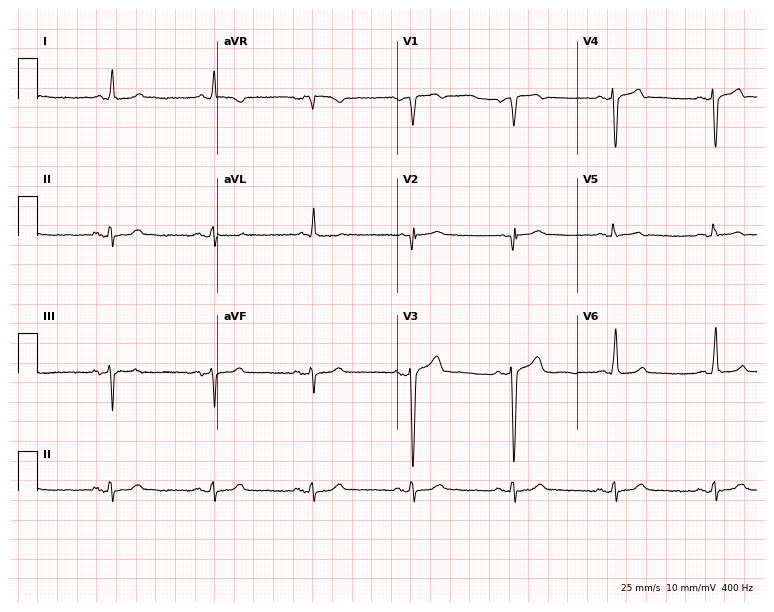
12-lead ECG from a 59-year-old male. Screened for six findings — first-degree AV block, right bundle branch block, left bundle branch block, sinus bradycardia, atrial fibrillation, sinus tachycardia — none is recorded. Only these six findings were labelled.